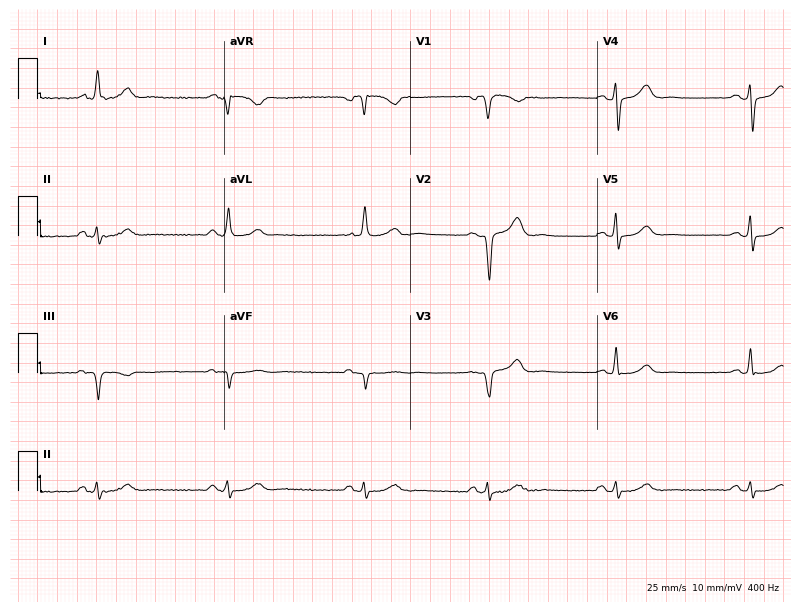
Electrocardiogram (7.6-second recording at 400 Hz), a 56-year-old male patient. Of the six screened findings (first-degree AV block, right bundle branch block (RBBB), left bundle branch block (LBBB), sinus bradycardia, atrial fibrillation (AF), sinus tachycardia), none is recorded. Findings outside these six are not listed.